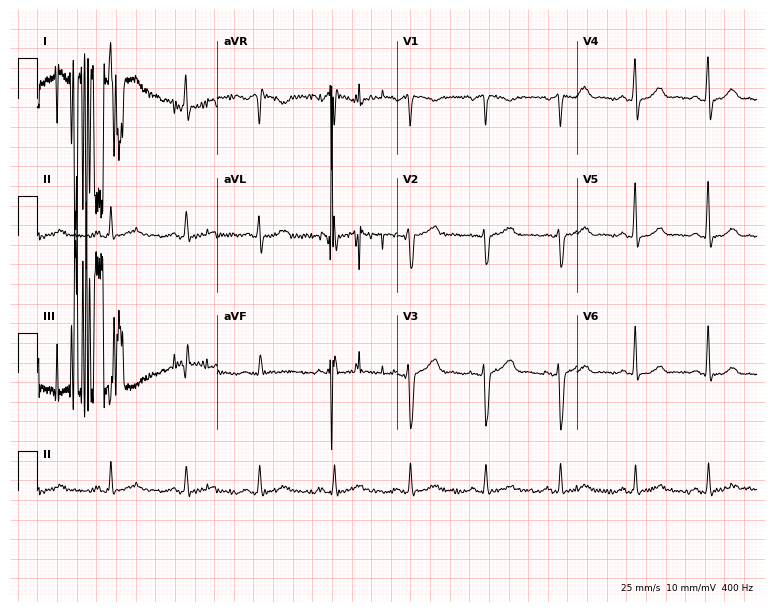
Electrocardiogram, a 37-year-old man. Overall reading on record: normal ECG.